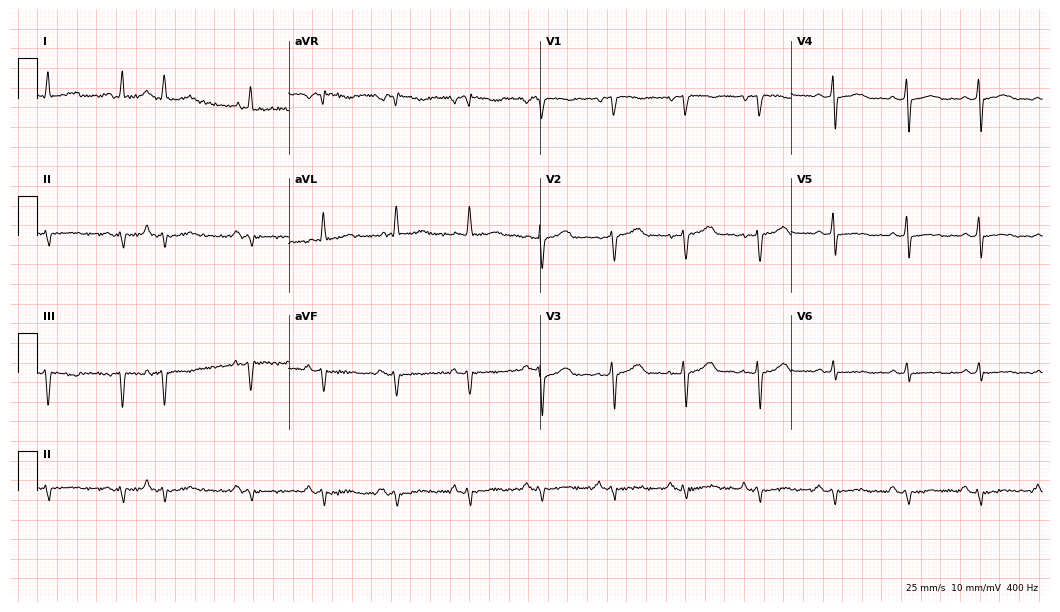
Standard 12-lead ECG recorded from a 68-year-old female. None of these six findings is recorded: first-degree AV block, right bundle branch block (RBBB), left bundle branch block (LBBB), sinus bradycardia, atrial fibrillation (AF), sinus tachycardia.